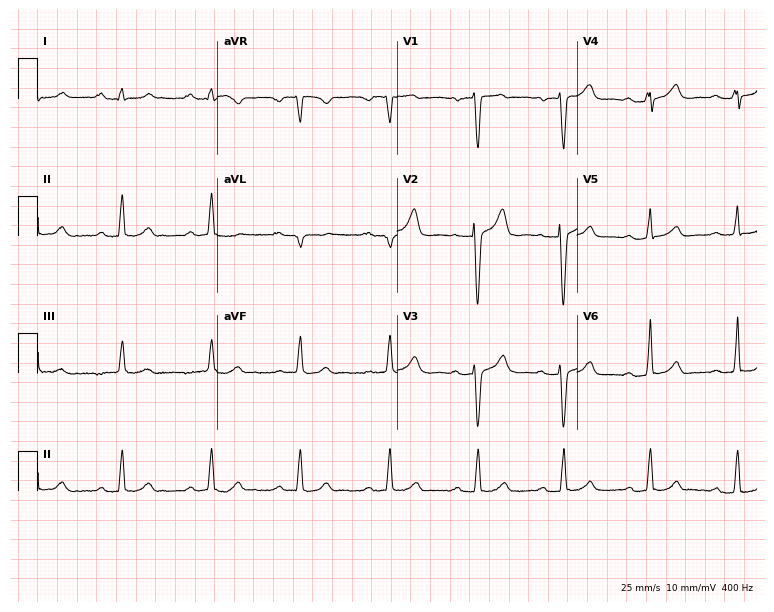
12-lead ECG from a 65-year-old man. Recorded interpretation: within normal limits.